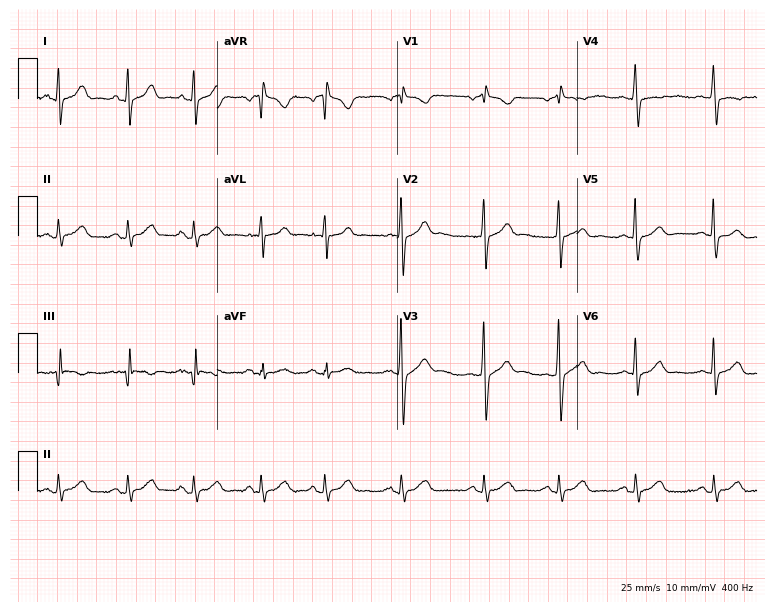
Electrocardiogram (7.3-second recording at 400 Hz), a 41-year-old female. Of the six screened findings (first-degree AV block, right bundle branch block, left bundle branch block, sinus bradycardia, atrial fibrillation, sinus tachycardia), none is recorded. Other findings, if any, are not listed.